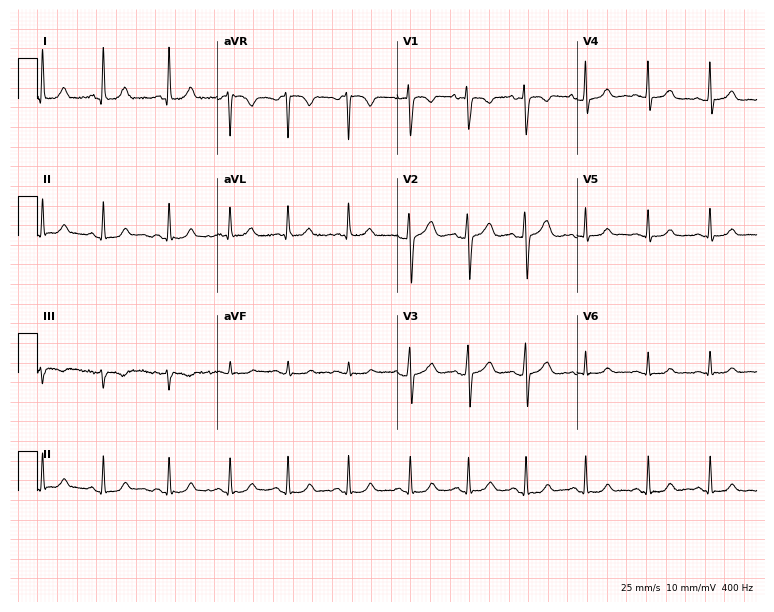
12-lead ECG from a 30-year-old female patient (7.3-second recording at 400 Hz). No first-degree AV block, right bundle branch block, left bundle branch block, sinus bradycardia, atrial fibrillation or sinus tachycardia recorded for this tracing.